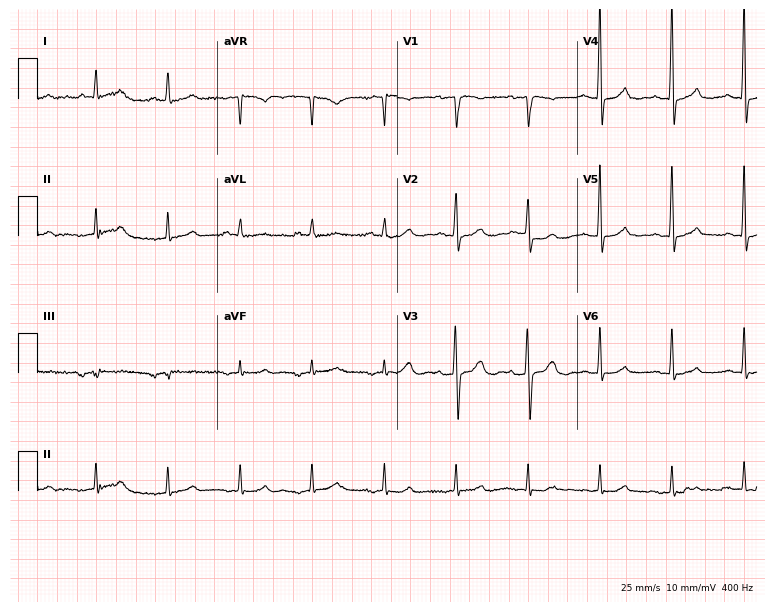
12-lead ECG from an 82-year-old male. Screened for six findings — first-degree AV block, right bundle branch block, left bundle branch block, sinus bradycardia, atrial fibrillation, sinus tachycardia — none is recorded.